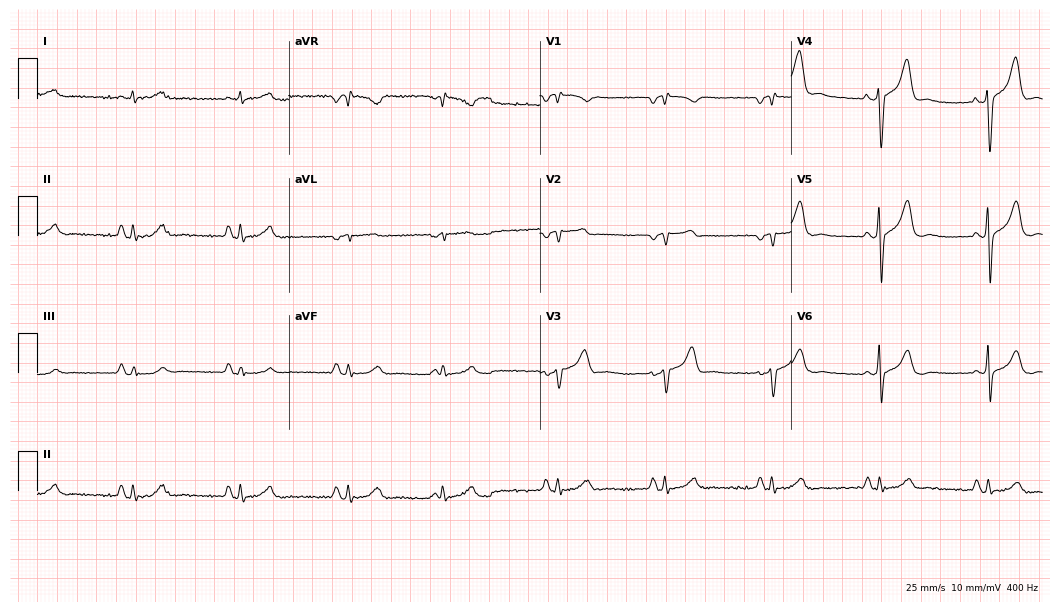
12-lead ECG from a man, 77 years old. No first-degree AV block, right bundle branch block, left bundle branch block, sinus bradycardia, atrial fibrillation or sinus tachycardia recorded for this tracing. Other findings, if any, are not listed.